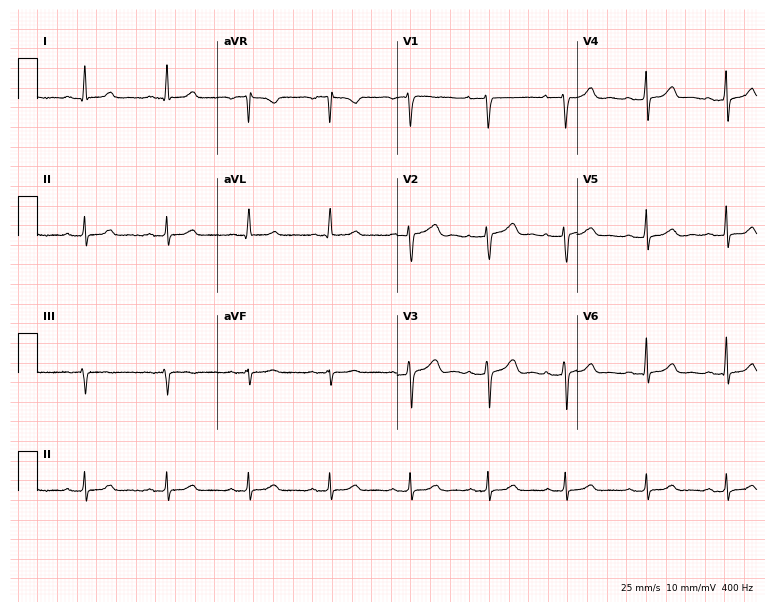
Resting 12-lead electrocardiogram. Patient: a female, 37 years old. Read as a normal ECG.